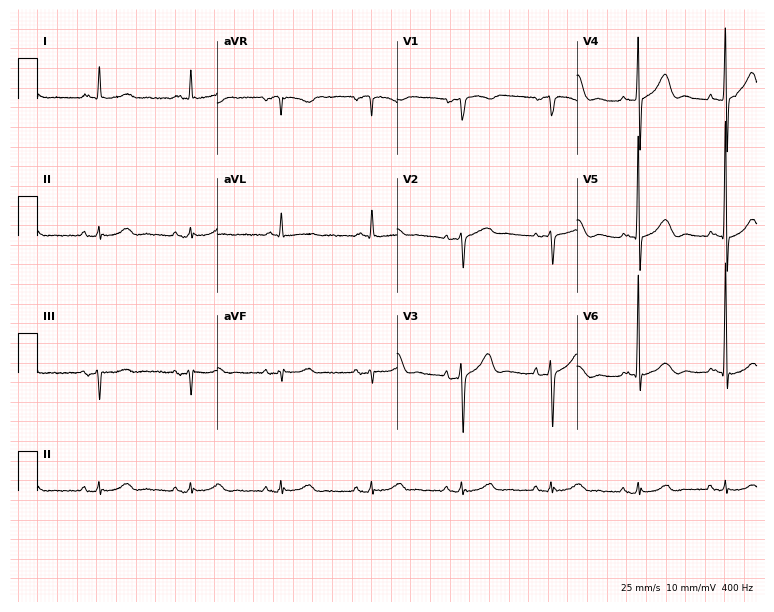
Standard 12-lead ECG recorded from a male patient, 70 years old (7.3-second recording at 400 Hz). Read as a normal ECG.